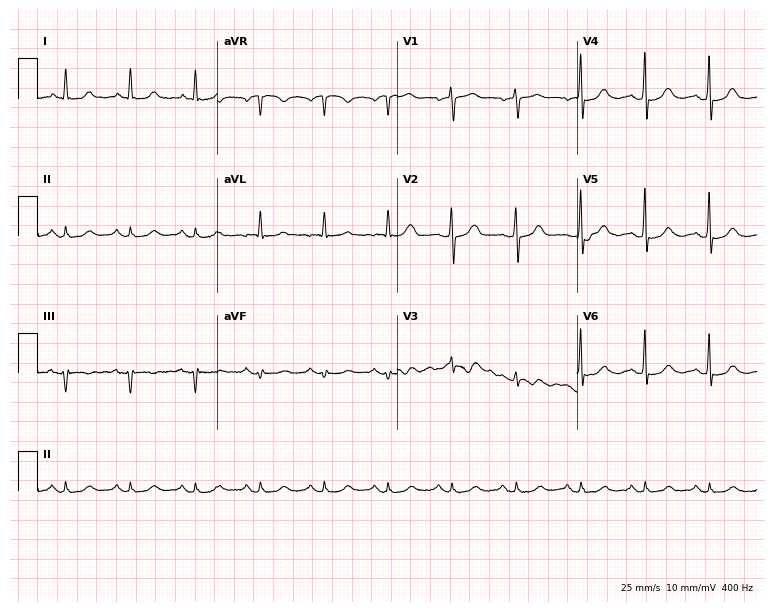
12-lead ECG from an 84-year-old man (7.3-second recording at 400 Hz). Recorded interpretation: within normal limits.